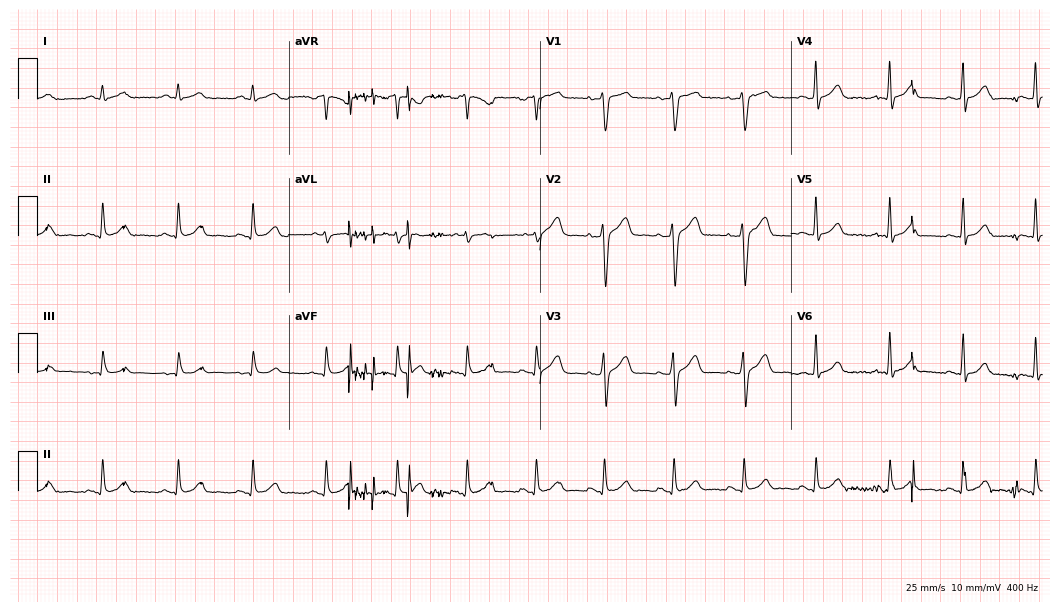
12-lead ECG from a man, 41 years old (10.2-second recording at 400 Hz). Recorded interpretation: within normal limits.